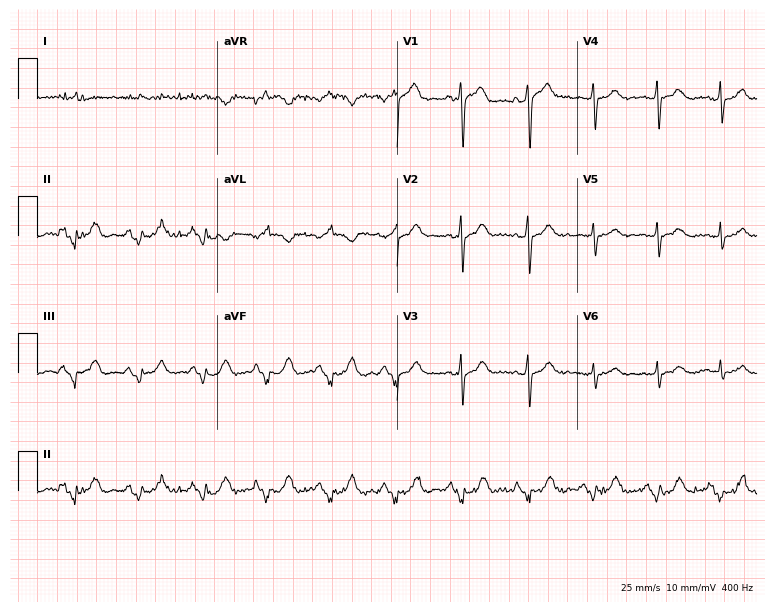
12-lead ECG (7.3-second recording at 400 Hz) from a male, 54 years old. Screened for six findings — first-degree AV block, right bundle branch block, left bundle branch block, sinus bradycardia, atrial fibrillation, sinus tachycardia — none is recorded. Other findings, if any, are not listed.